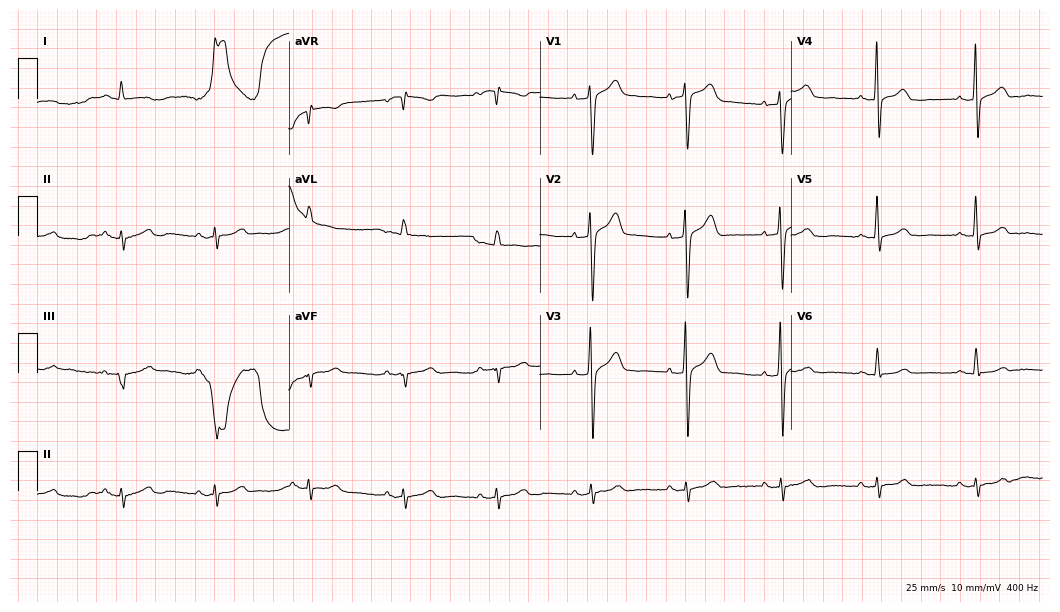
ECG (10.2-second recording at 400 Hz) — a 66-year-old male patient. Screened for six findings — first-degree AV block, right bundle branch block, left bundle branch block, sinus bradycardia, atrial fibrillation, sinus tachycardia — none is recorded.